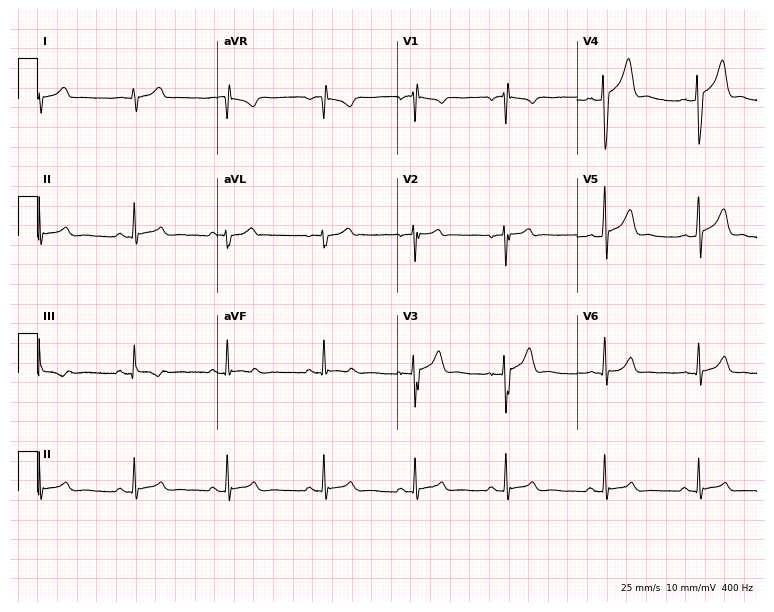
Standard 12-lead ECG recorded from a 22-year-old man. None of these six findings is recorded: first-degree AV block, right bundle branch block, left bundle branch block, sinus bradycardia, atrial fibrillation, sinus tachycardia. Only these six findings were labelled.